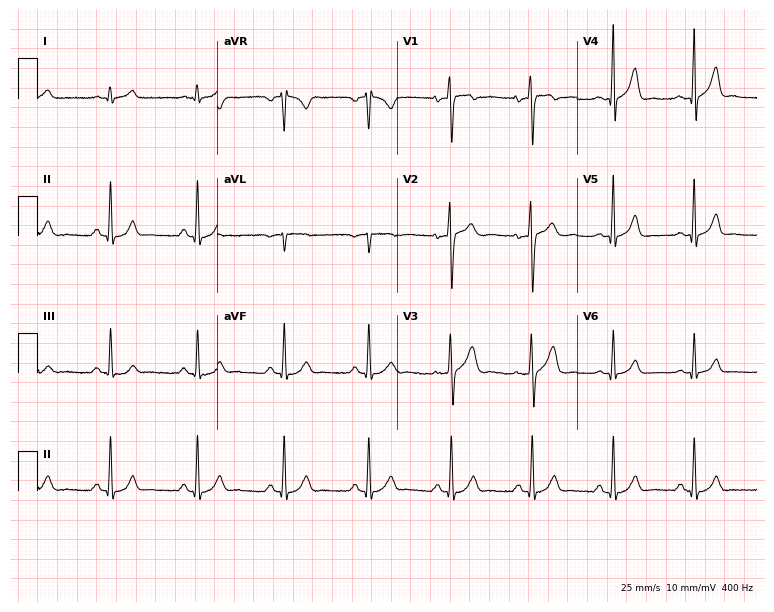
Electrocardiogram (7.3-second recording at 400 Hz), a man, 24 years old. Of the six screened findings (first-degree AV block, right bundle branch block, left bundle branch block, sinus bradycardia, atrial fibrillation, sinus tachycardia), none is recorded.